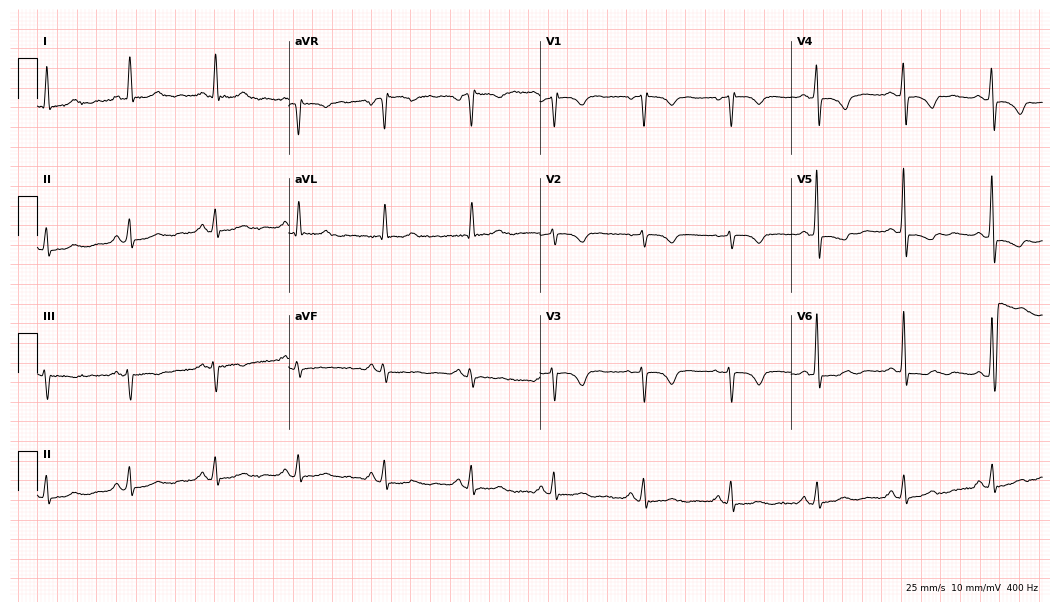
Electrocardiogram, a 54-year-old female patient. Of the six screened findings (first-degree AV block, right bundle branch block (RBBB), left bundle branch block (LBBB), sinus bradycardia, atrial fibrillation (AF), sinus tachycardia), none is recorded. Other findings, if any, are not listed.